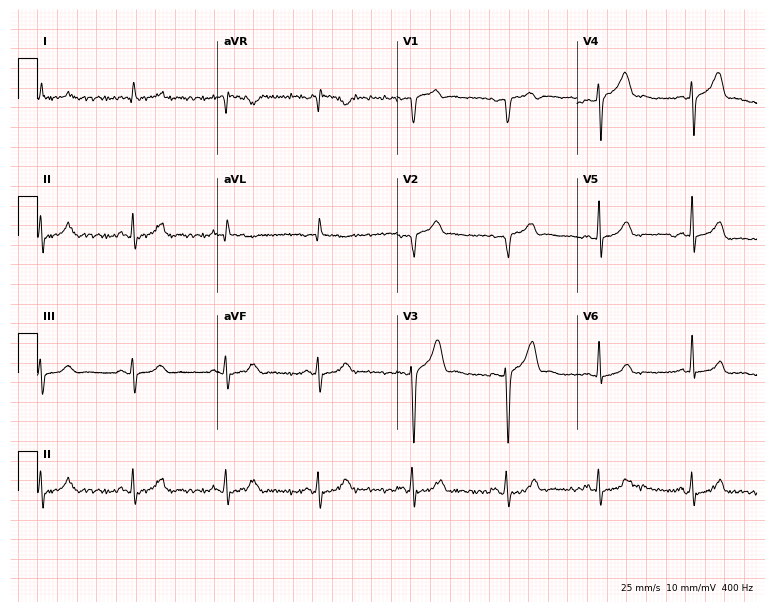
ECG — a male patient, 68 years old. Screened for six findings — first-degree AV block, right bundle branch block, left bundle branch block, sinus bradycardia, atrial fibrillation, sinus tachycardia — none is recorded.